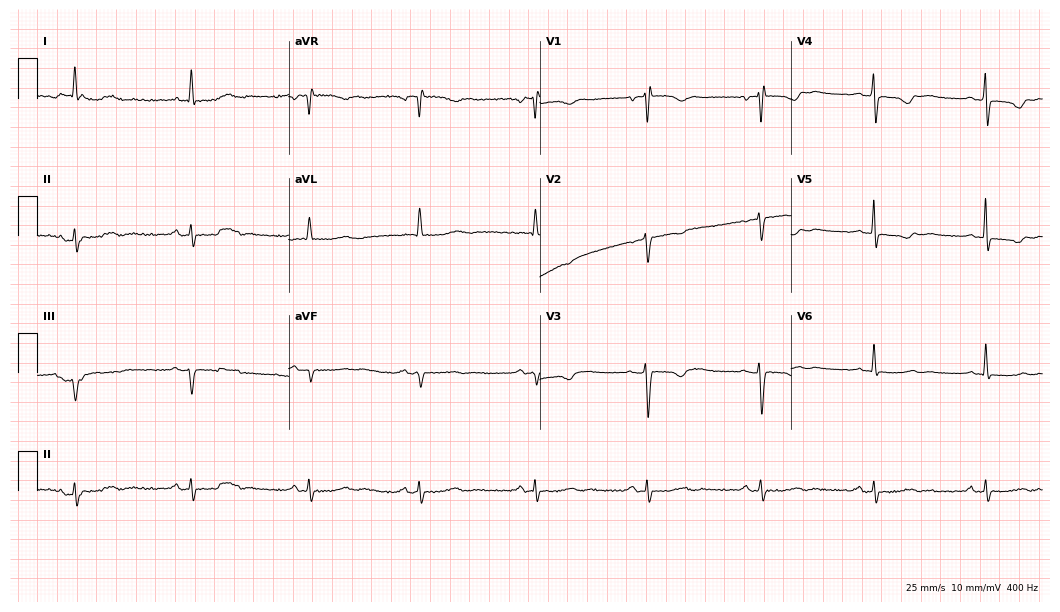
Electrocardiogram (10.2-second recording at 400 Hz), a 72-year-old female patient. Of the six screened findings (first-degree AV block, right bundle branch block (RBBB), left bundle branch block (LBBB), sinus bradycardia, atrial fibrillation (AF), sinus tachycardia), none is recorded.